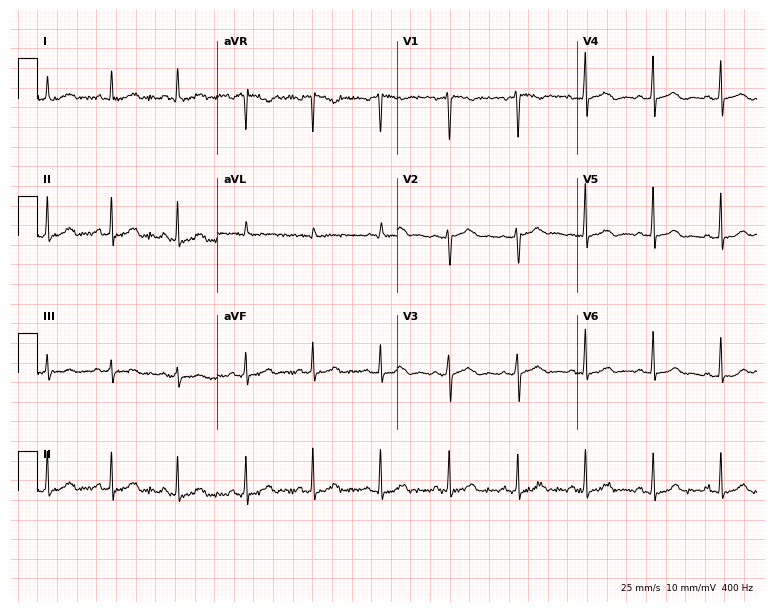
Resting 12-lead electrocardiogram. Patient: a 41-year-old female. Read as a normal ECG.